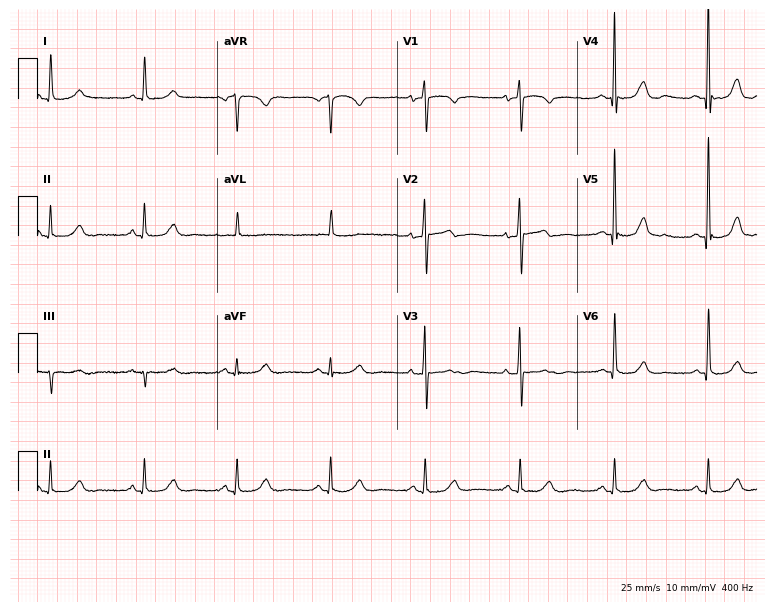
Resting 12-lead electrocardiogram (7.3-second recording at 400 Hz). Patient: a female, 73 years old. Read as a normal ECG.